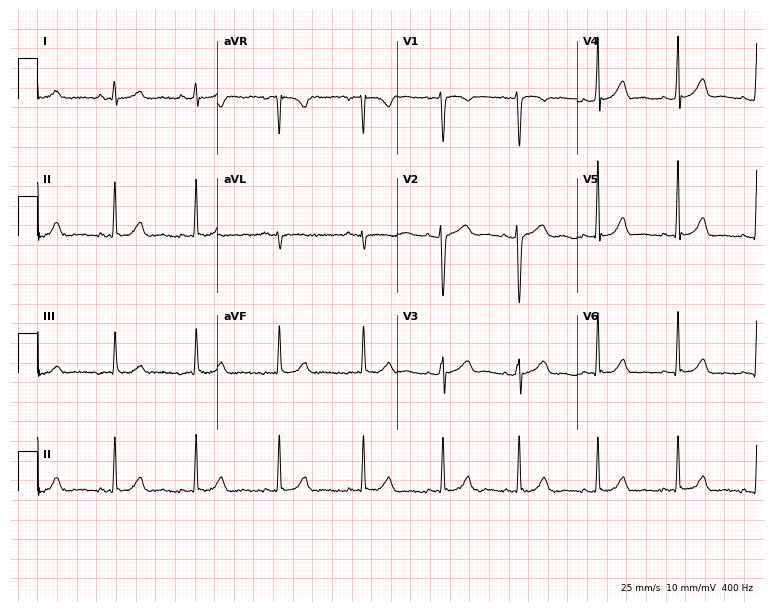
ECG (7.3-second recording at 400 Hz) — a 23-year-old female. Screened for six findings — first-degree AV block, right bundle branch block, left bundle branch block, sinus bradycardia, atrial fibrillation, sinus tachycardia — none is recorded. Findings outside these six are not listed.